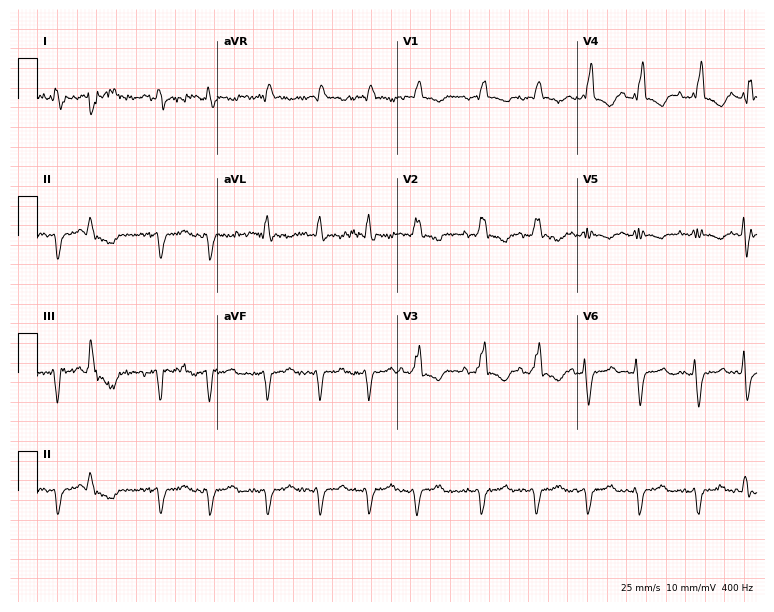
12-lead ECG from a 61-year-old female patient. Screened for six findings — first-degree AV block, right bundle branch block, left bundle branch block, sinus bradycardia, atrial fibrillation, sinus tachycardia — none is recorded. Findings outside these six are not listed.